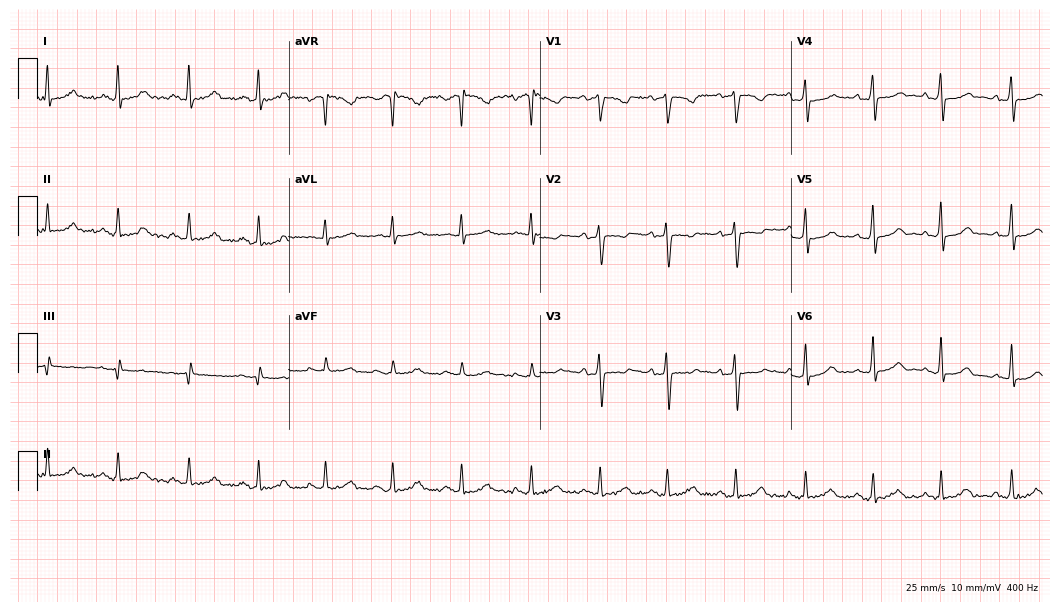
Resting 12-lead electrocardiogram (10.2-second recording at 400 Hz). Patient: a 30-year-old woman. Read as a normal ECG.